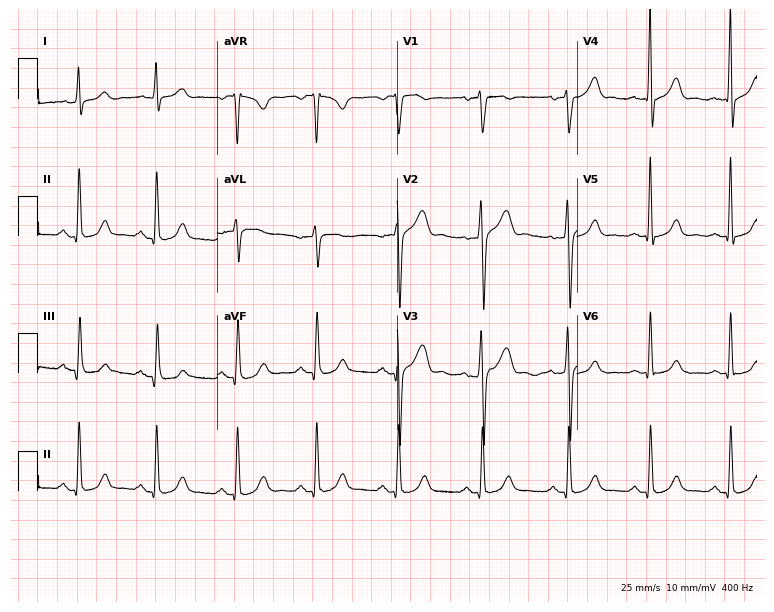
12-lead ECG from a male patient, 43 years old (7.3-second recording at 400 Hz). Recorded interpretation: within normal limits.